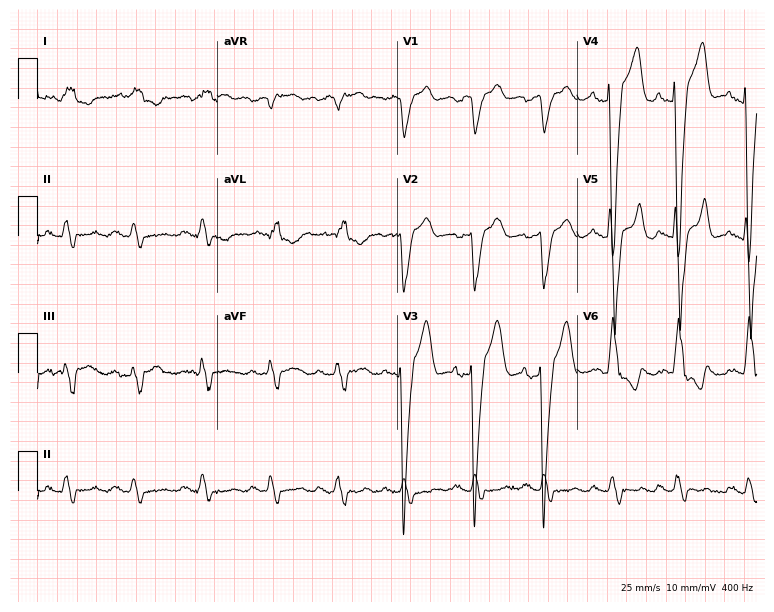
Electrocardiogram, a man, 74 years old. Interpretation includes left bundle branch block (LBBB).